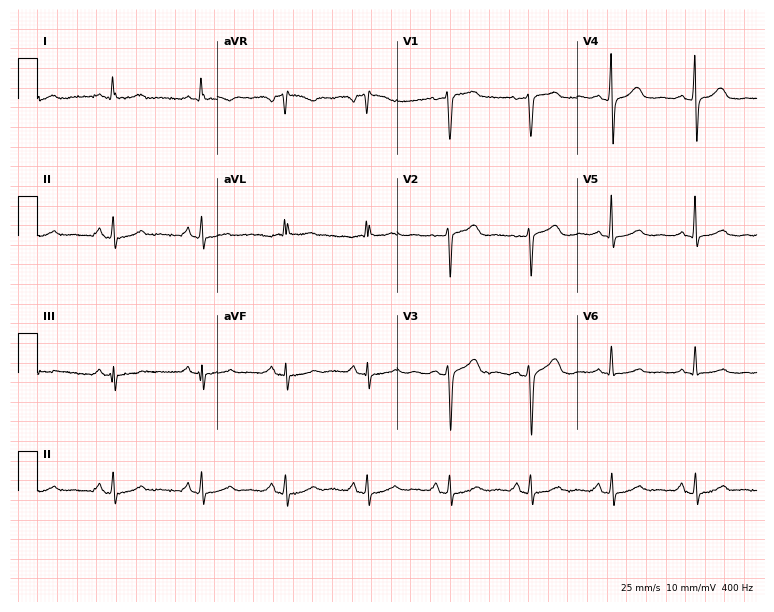
Standard 12-lead ECG recorded from a female patient, 54 years old. Read as a normal ECG.